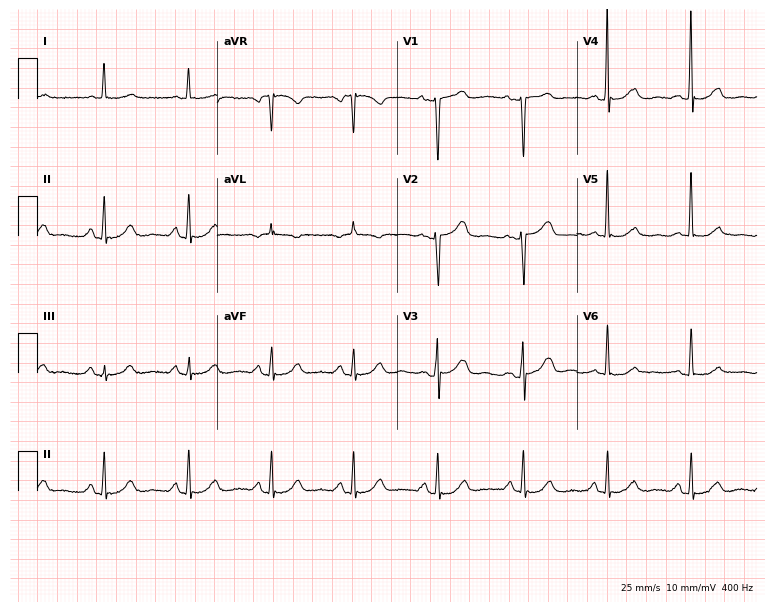
Electrocardiogram, a 76-year-old female. Of the six screened findings (first-degree AV block, right bundle branch block, left bundle branch block, sinus bradycardia, atrial fibrillation, sinus tachycardia), none is recorded.